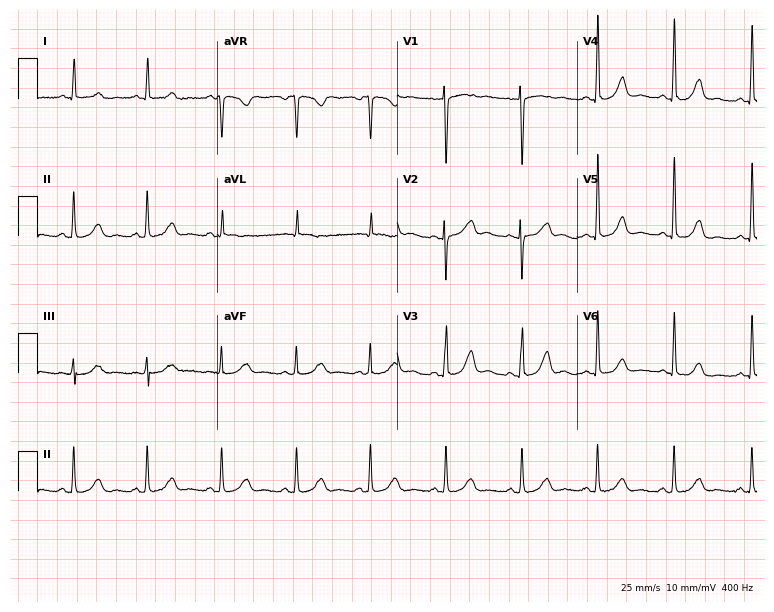
12-lead ECG from a female, 72 years old. Labelled as a normal ECG.